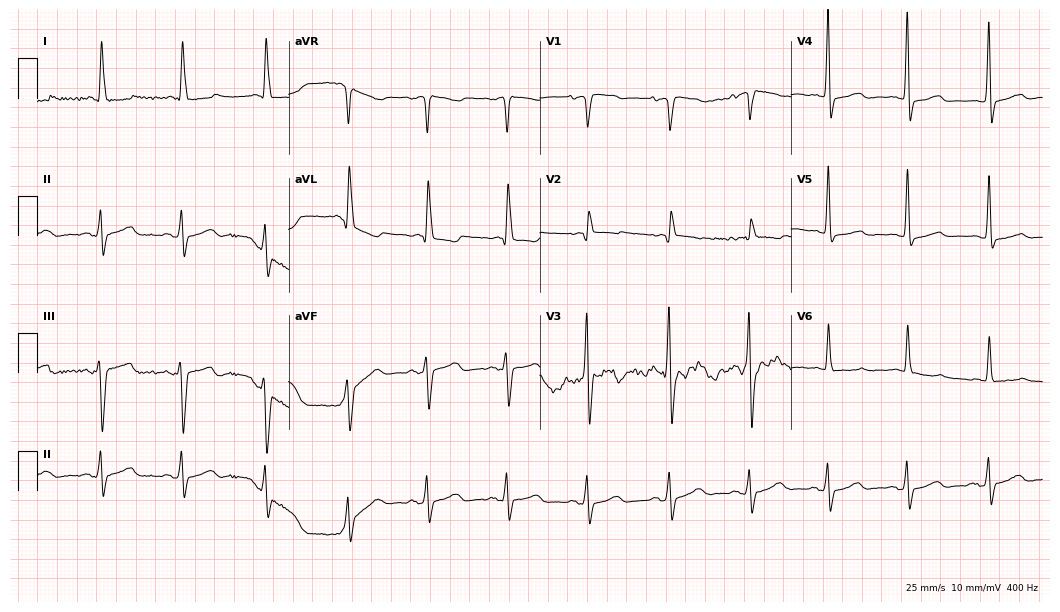
ECG (10.2-second recording at 400 Hz) — an 84-year-old female patient. Screened for six findings — first-degree AV block, right bundle branch block (RBBB), left bundle branch block (LBBB), sinus bradycardia, atrial fibrillation (AF), sinus tachycardia — none is recorded.